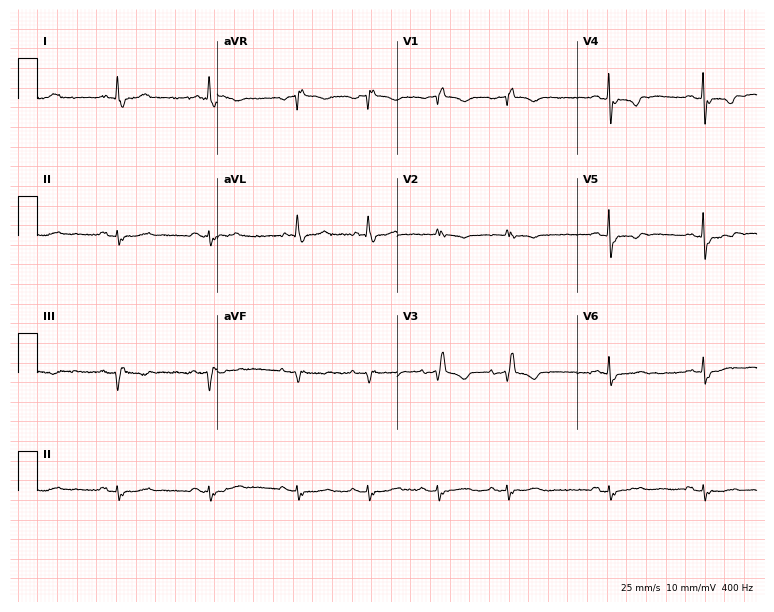
12-lead ECG (7.3-second recording at 400 Hz) from an 81-year-old female. Findings include right bundle branch block.